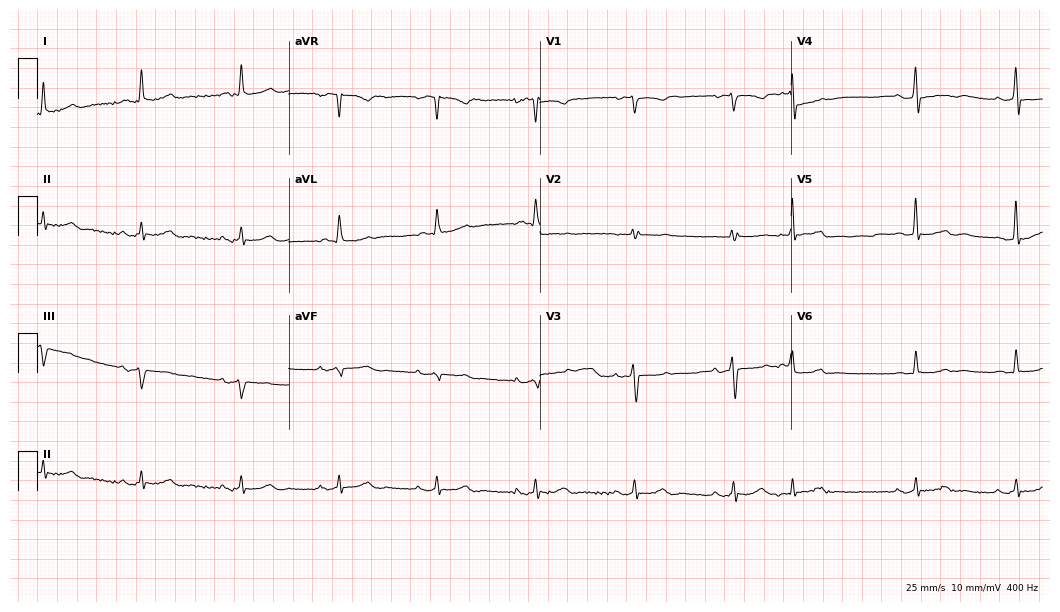
12-lead ECG from a female, 86 years old (10.2-second recording at 400 Hz). No first-degree AV block, right bundle branch block, left bundle branch block, sinus bradycardia, atrial fibrillation or sinus tachycardia recorded for this tracing.